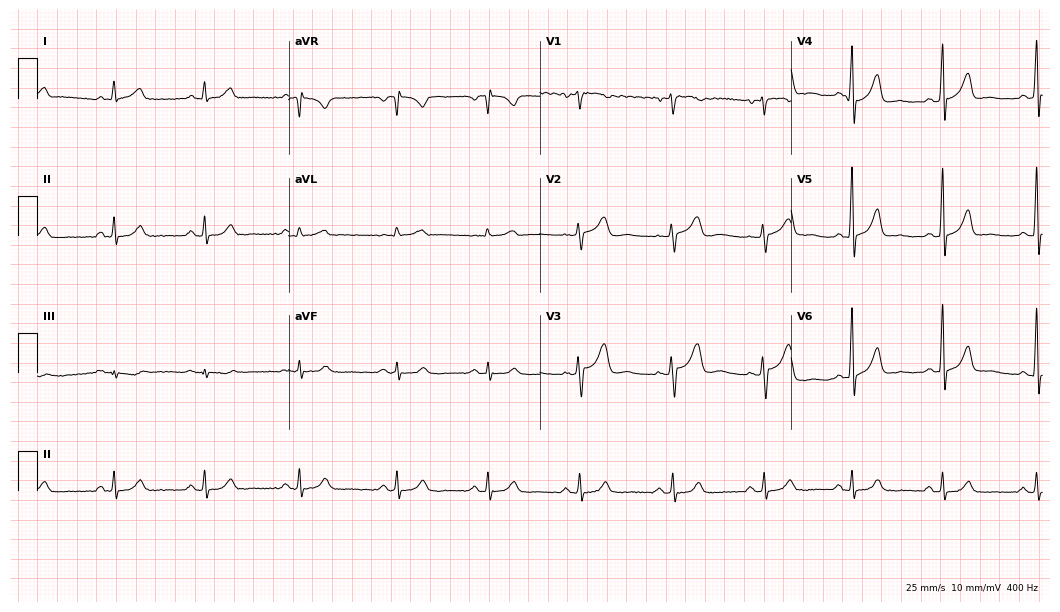
12-lead ECG (10.2-second recording at 400 Hz) from a female patient, 47 years old. Labelled as a normal ECG.